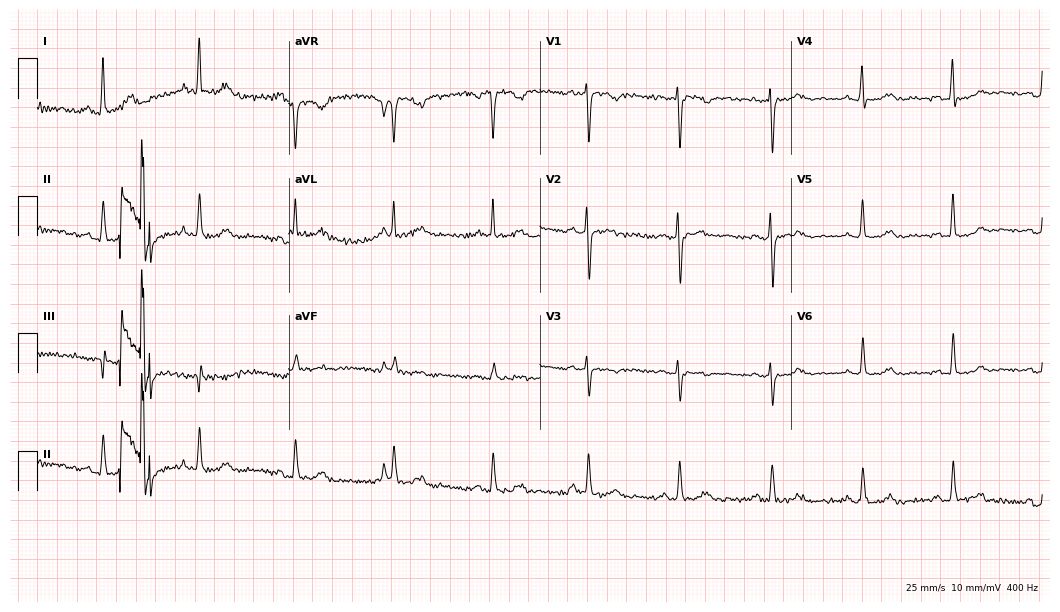
ECG — a female patient, 48 years old. Screened for six findings — first-degree AV block, right bundle branch block (RBBB), left bundle branch block (LBBB), sinus bradycardia, atrial fibrillation (AF), sinus tachycardia — none is recorded.